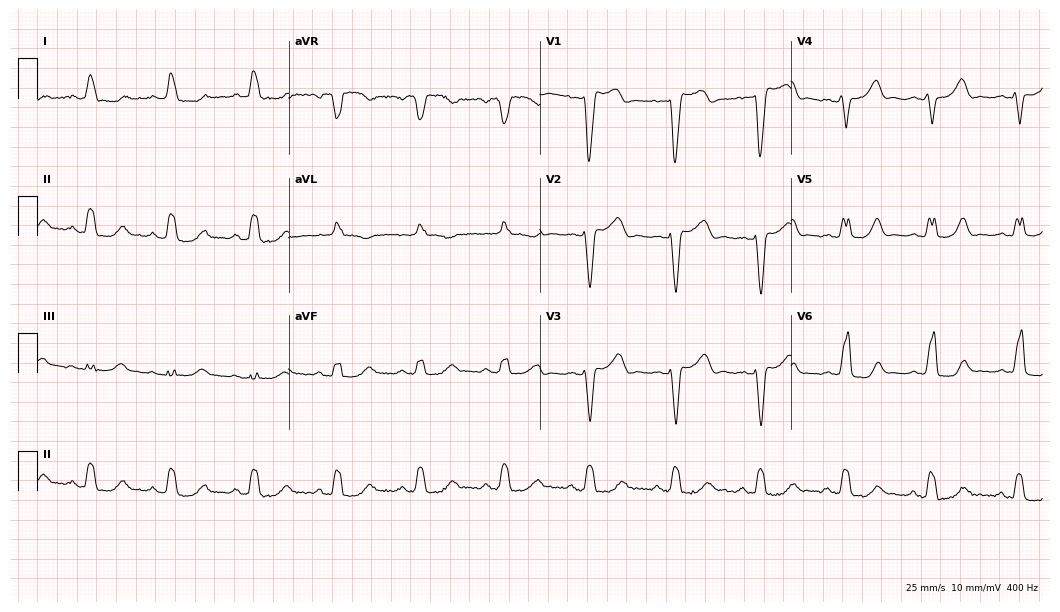
12-lead ECG from a female patient, 80 years old. Shows left bundle branch block (LBBB).